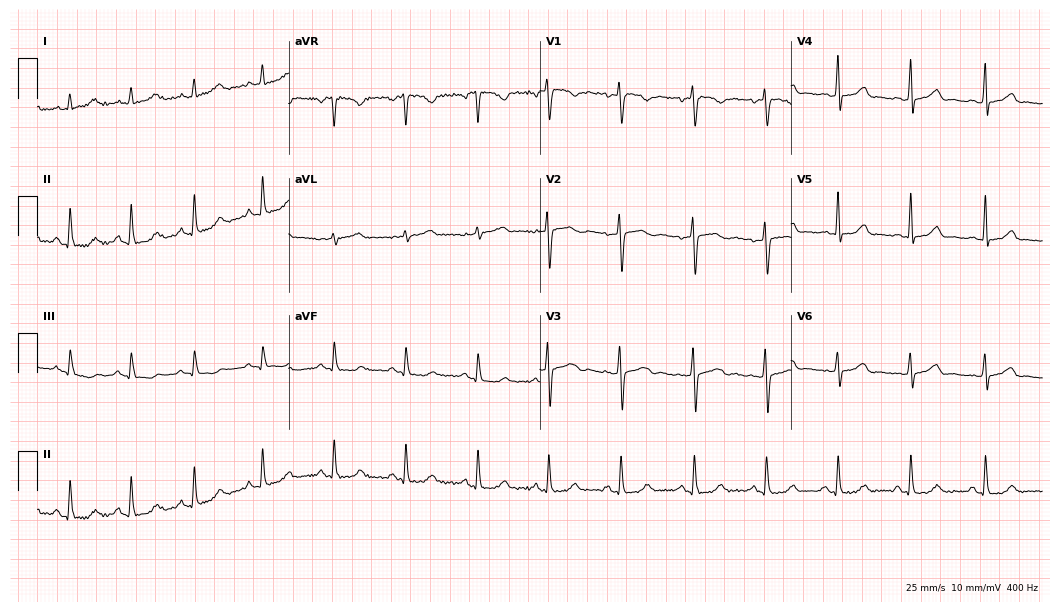
ECG (10.2-second recording at 400 Hz) — a 40-year-old woman. Screened for six findings — first-degree AV block, right bundle branch block (RBBB), left bundle branch block (LBBB), sinus bradycardia, atrial fibrillation (AF), sinus tachycardia — none is recorded.